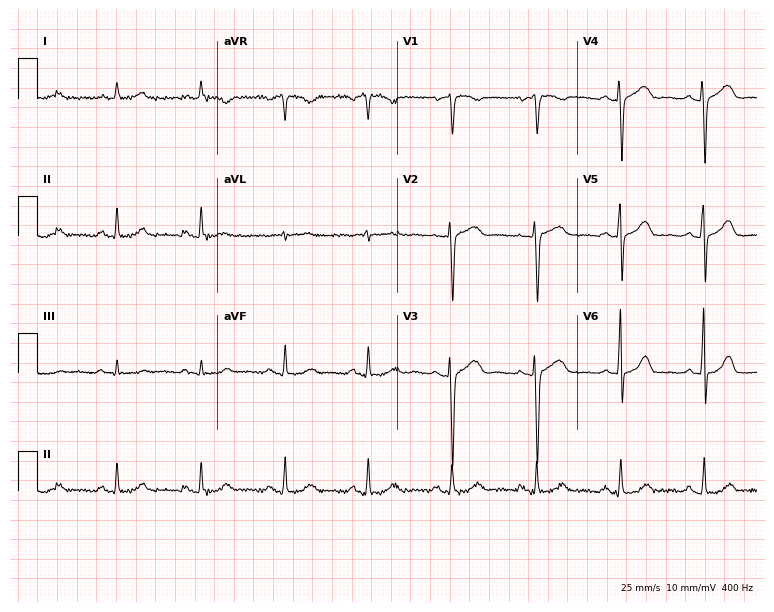
ECG (7.3-second recording at 400 Hz) — a 76-year-old male. Screened for six findings — first-degree AV block, right bundle branch block, left bundle branch block, sinus bradycardia, atrial fibrillation, sinus tachycardia — none is recorded. Other findings, if any, are not listed.